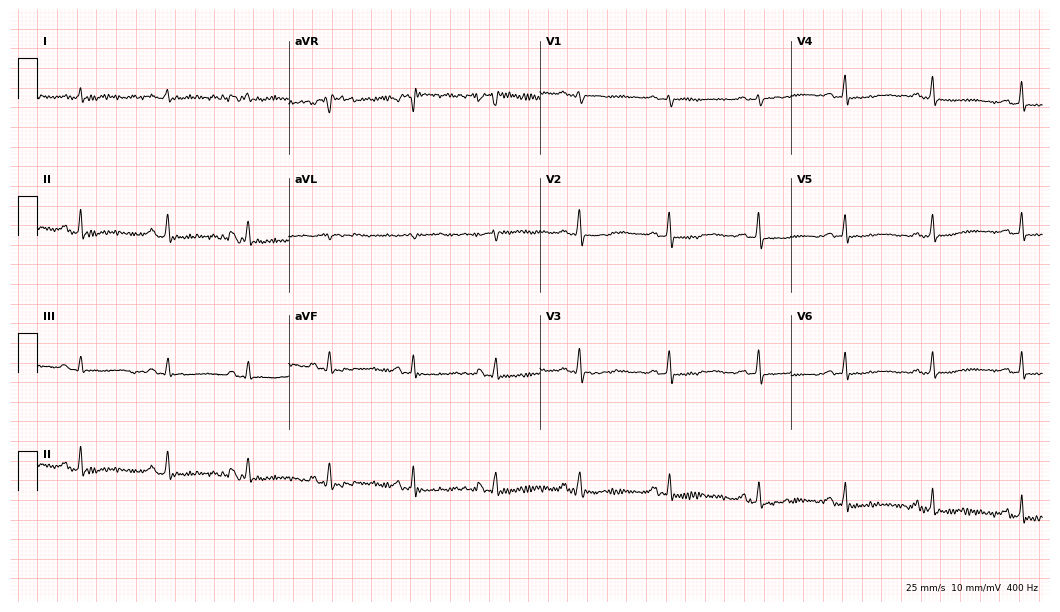
12-lead ECG from a 47-year-old woman. No first-degree AV block, right bundle branch block (RBBB), left bundle branch block (LBBB), sinus bradycardia, atrial fibrillation (AF) or sinus tachycardia recorded for this tracing. Only these six findings were labelled.